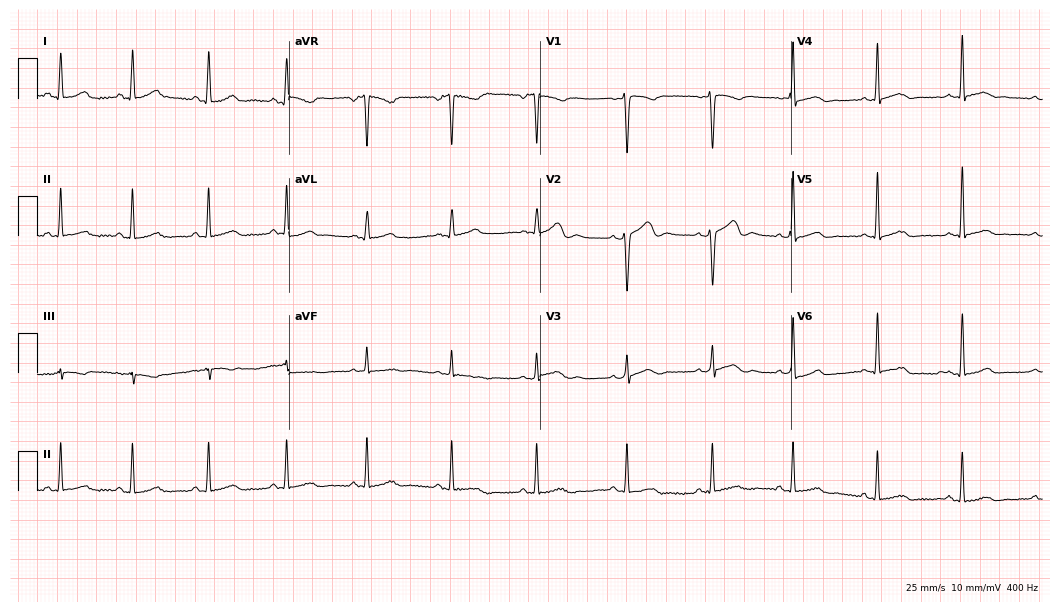
12-lead ECG from a female patient, 37 years old (10.2-second recording at 400 Hz). Recorded interpretation: within normal limits.